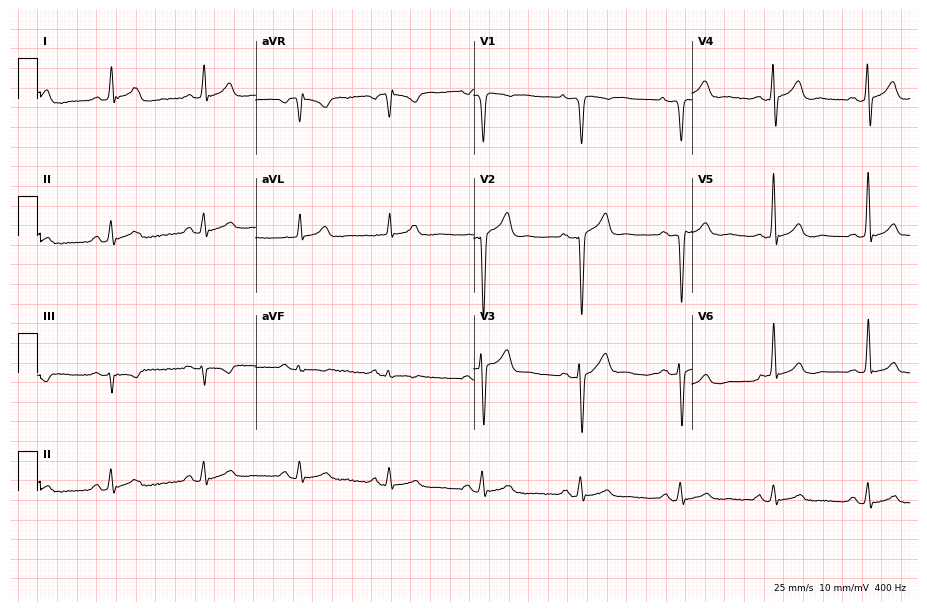
ECG (8.9-second recording at 400 Hz) — a male, 28 years old. Labelled as a normal ECG.